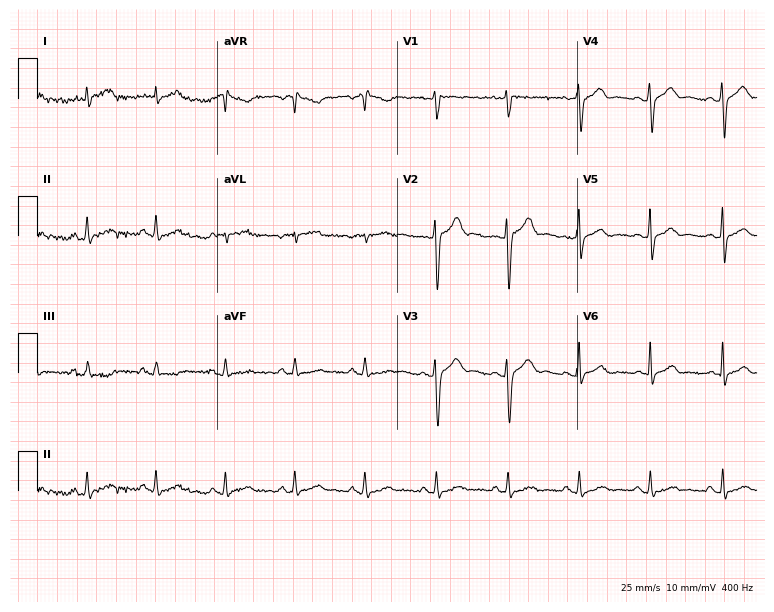
Electrocardiogram (7.3-second recording at 400 Hz), a male, 26 years old. Overall reading on record: normal ECG.